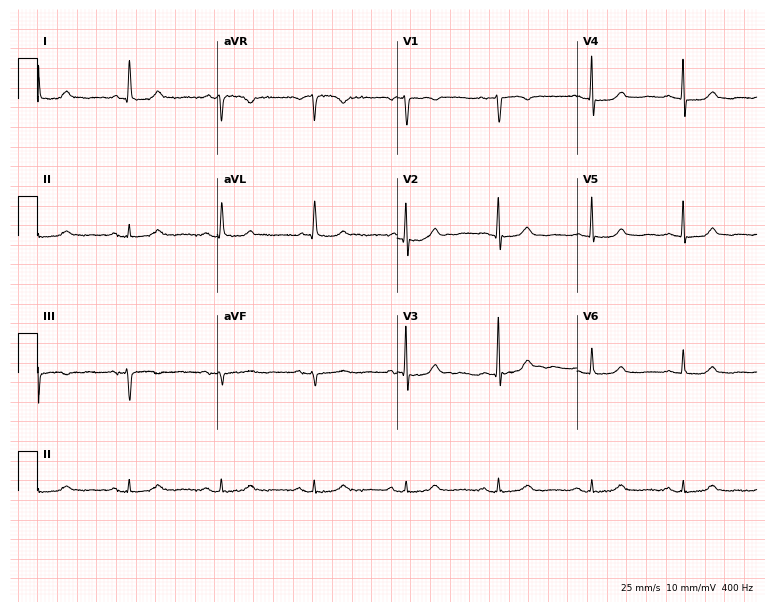
Electrocardiogram, a female patient, 79 years old. Overall reading on record: normal ECG.